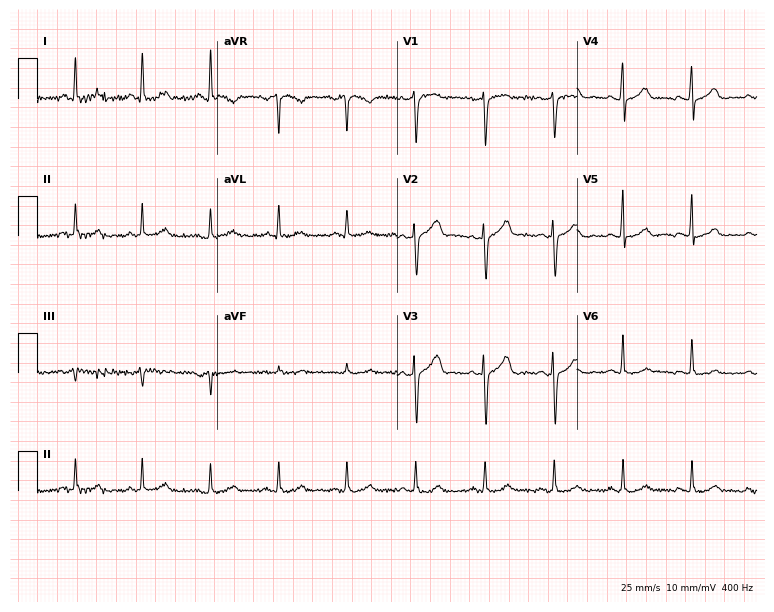
12-lead ECG from a female, 52 years old (7.3-second recording at 400 Hz). Recorded interpretation: within normal limits.